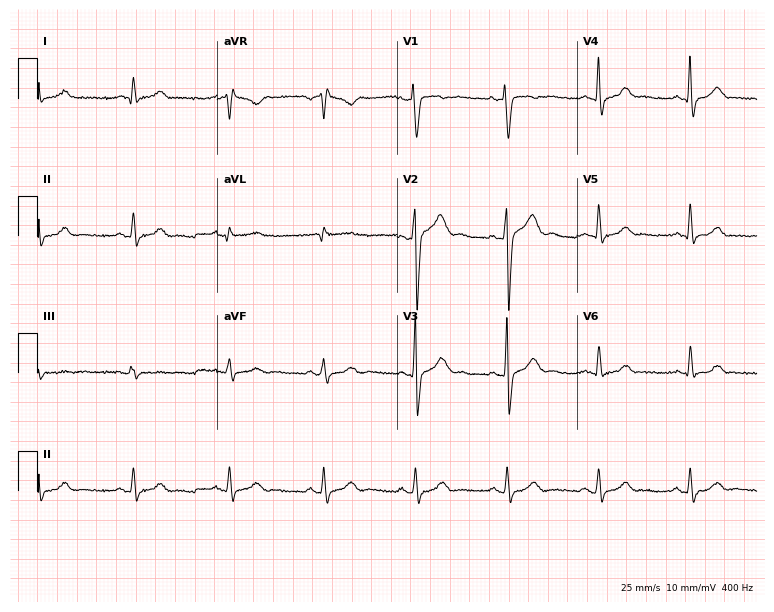
Resting 12-lead electrocardiogram (7.3-second recording at 400 Hz). Patient: a 34-year-old male. None of these six findings is recorded: first-degree AV block, right bundle branch block, left bundle branch block, sinus bradycardia, atrial fibrillation, sinus tachycardia. Only these six findings were labelled.